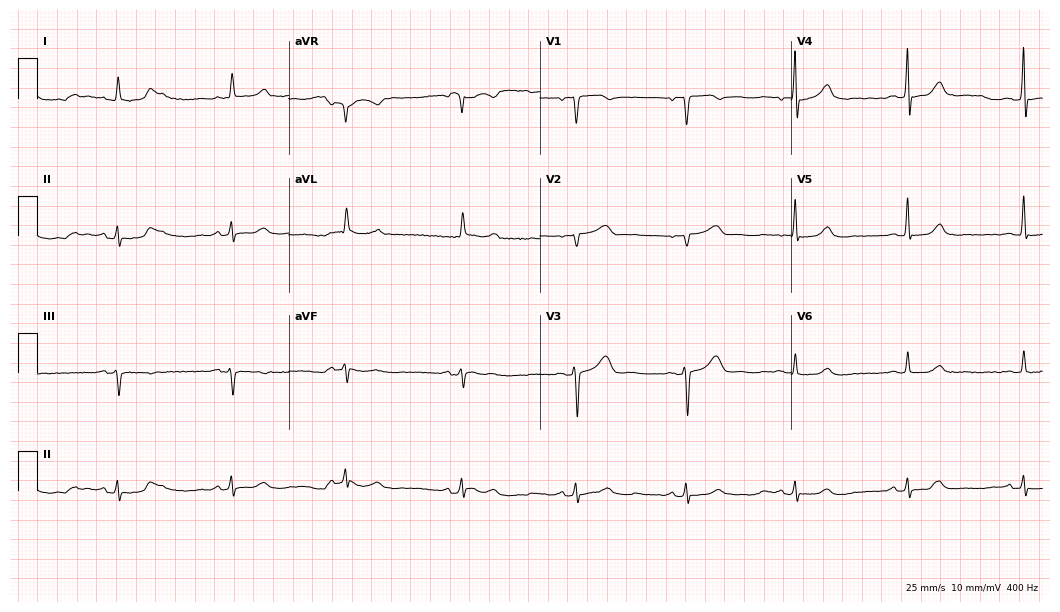
ECG (10.2-second recording at 400 Hz) — a male patient, 71 years old. Screened for six findings — first-degree AV block, right bundle branch block (RBBB), left bundle branch block (LBBB), sinus bradycardia, atrial fibrillation (AF), sinus tachycardia — none is recorded. Other findings, if any, are not listed.